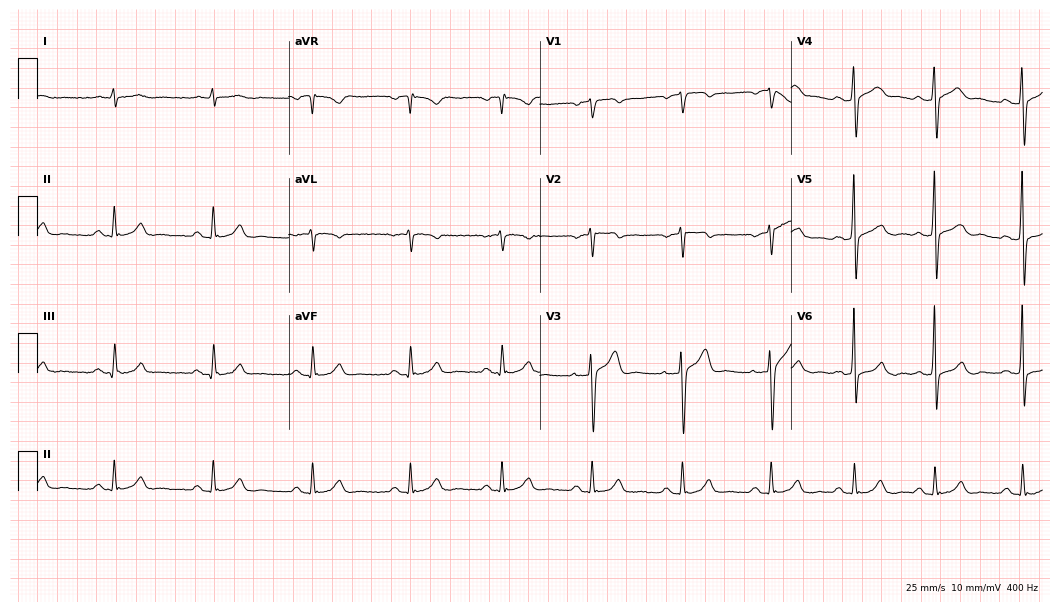
ECG — a 40-year-old male. Labelled as a normal ECG.